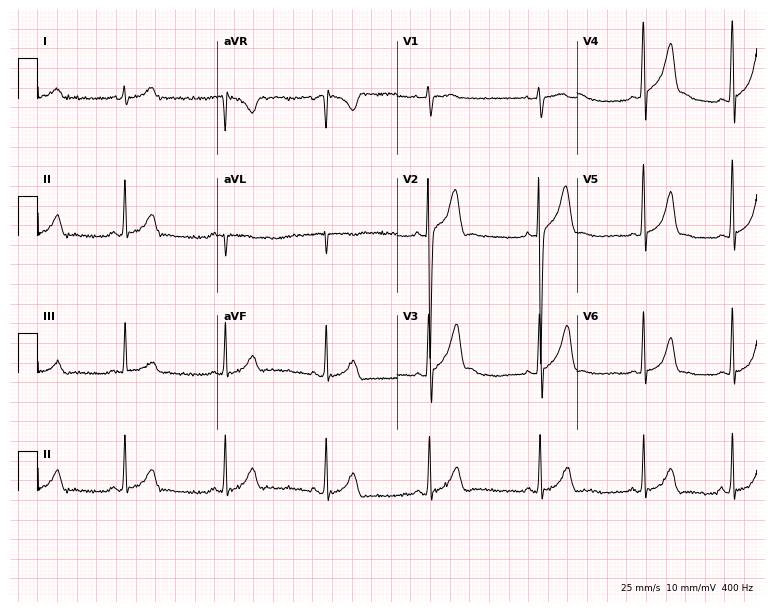
ECG — a 20-year-old male patient. Labelled as a normal ECG.